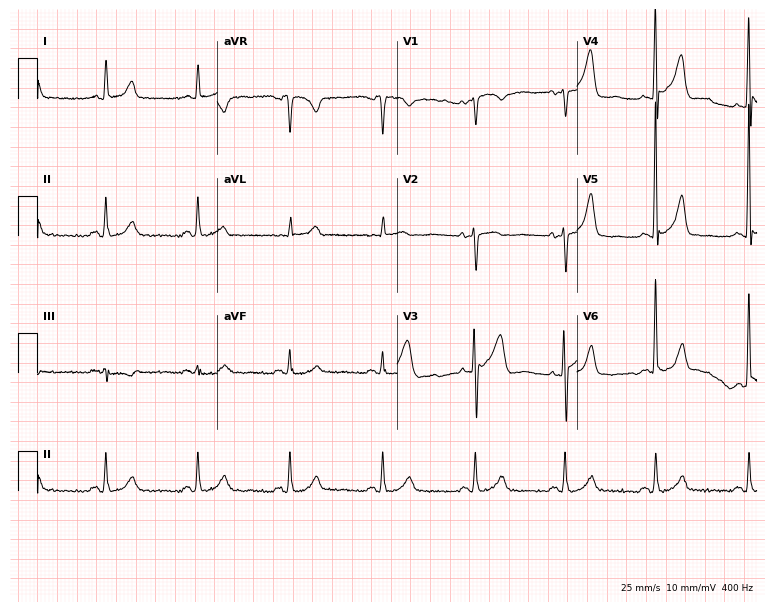
Standard 12-lead ECG recorded from a 57-year-old male patient (7.3-second recording at 400 Hz). None of these six findings is recorded: first-degree AV block, right bundle branch block (RBBB), left bundle branch block (LBBB), sinus bradycardia, atrial fibrillation (AF), sinus tachycardia.